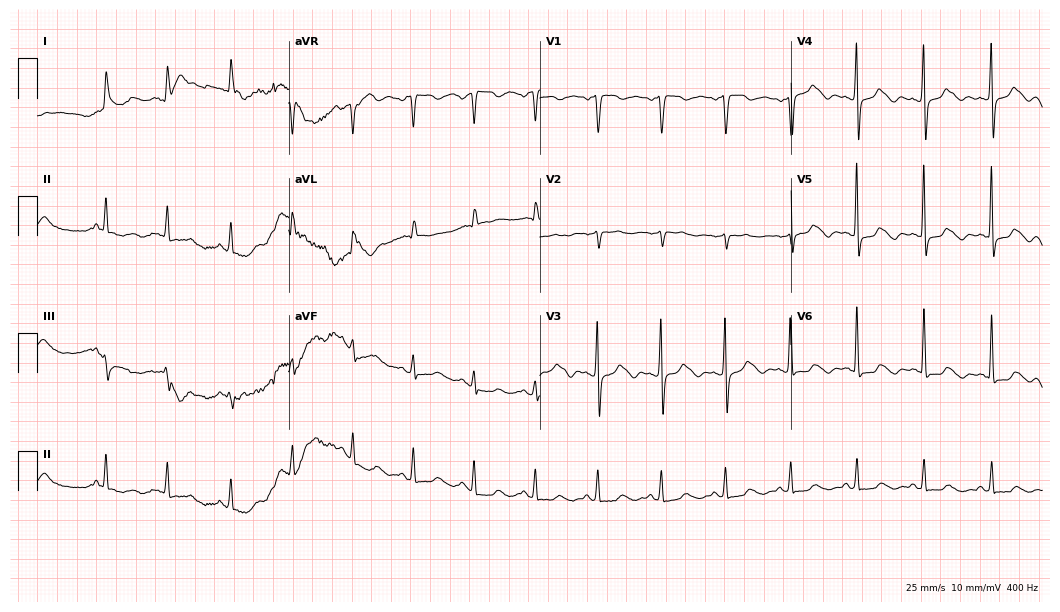
Standard 12-lead ECG recorded from a female patient, 73 years old. None of these six findings is recorded: first-degree AV block, right bundle branch block (RBBB), left bundle branch block (LBBB), sinus bradycardia, atrial fibrillation (AF), sinus tachycardia.